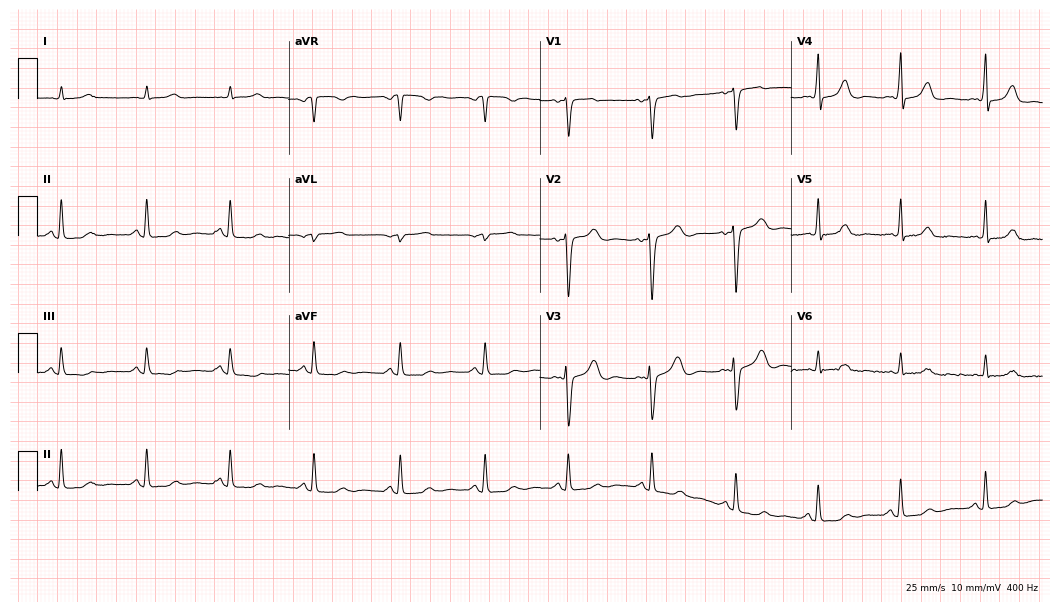
Resting 12-lead electrocardiogram. Patient: a woman, 45 years old. None of these six findings is recorded: first-degree AV block, right bundle branch block (RBBB), left bundle branch block (LBBB), sinus bradycardia, atrial fibrillation (AF), sinus tachycardia. Findings outside these six are not listed.